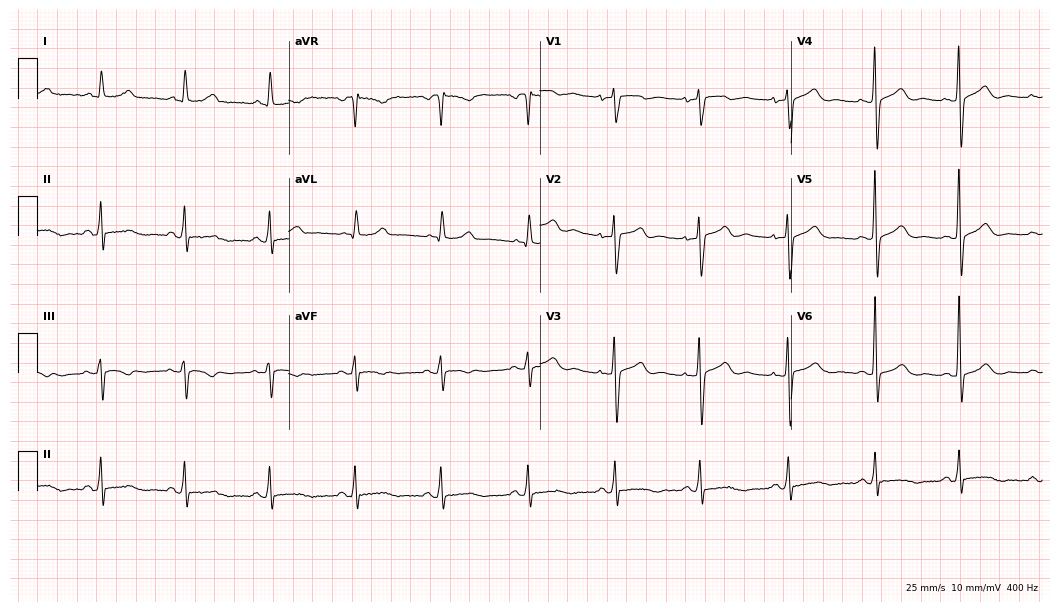
12-lead ECG from a 62-year-old female. Labelled as a normal ECG.